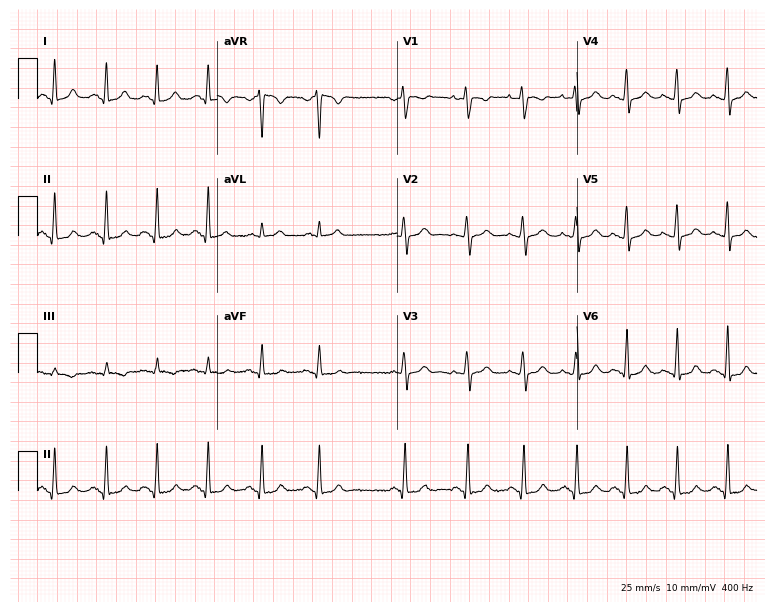
ECG (7.3-second recording at 400 Hz) — a 30-year-old woman. Labelled as a normal ECG.